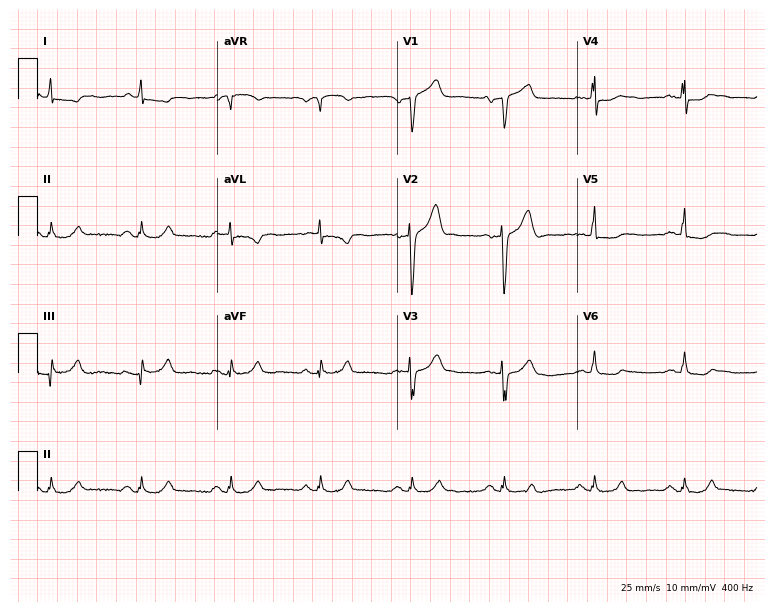
Standard 12-lead ECG recorded from a male patient, 69 years old (7.3-second recording at 400 Hz). None of these six findings is recorded: first-degree AV block, right bundle branch block, left bundle branch block, sinus bradycardia, atrial fibrillation, sinus tachycardia. Other findings, if any, are not listed.